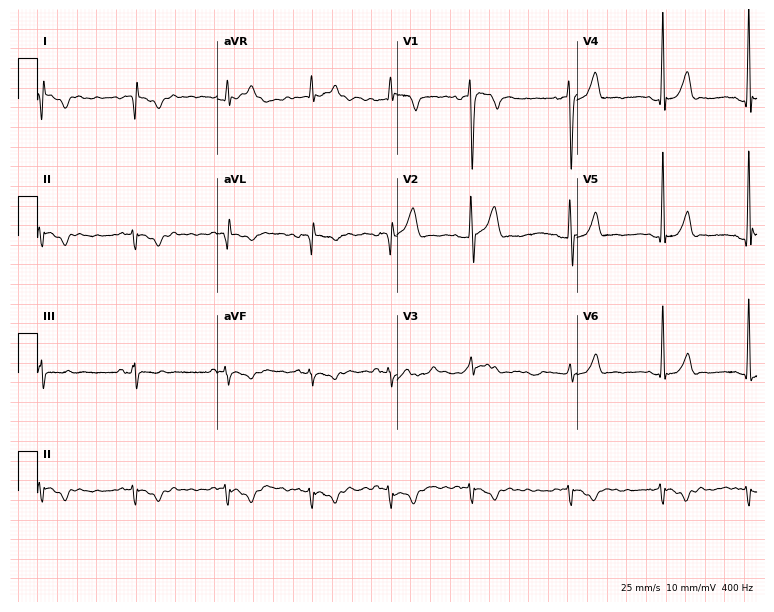
12-lead ECG from a male, 23 years old (7.3-second recording at 400 Hz). No first-degree AV block, right bundle branch block (RBBB), left bundle branch block (LBBB), sinus bradycardia, atrial fibrillation (AF) or sinus tachycardia recorded for this tracing.